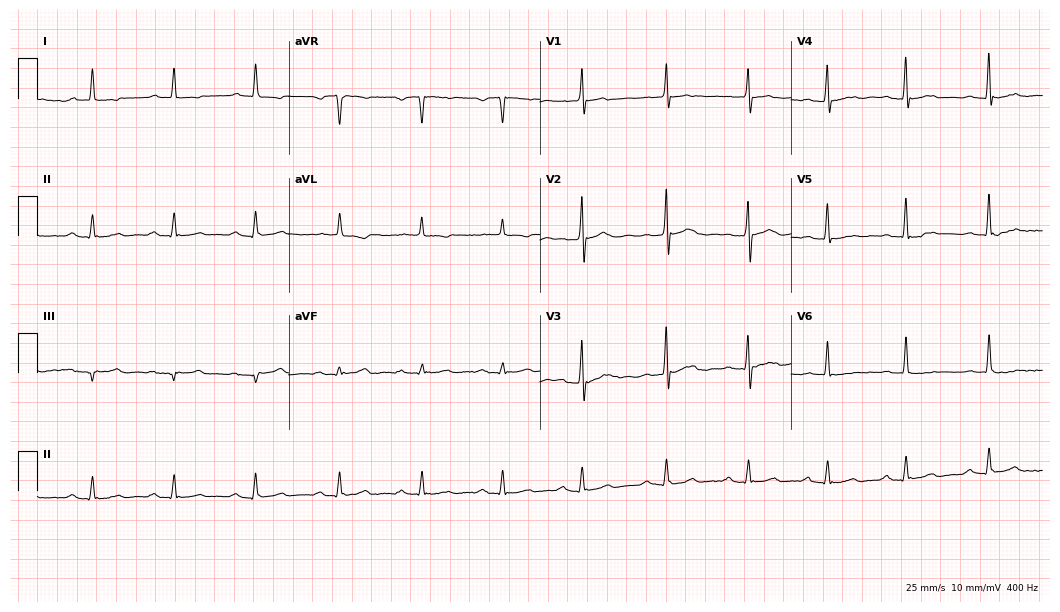
12-lead ECG from a 64-year-old male patient. No first-degree AV block, right bundle branch block (RBBB), left bundle branch block (LBBB), sinus bradycardia, atrial fibrillation (AF) or sinus tachycardia recorded for this tracing.